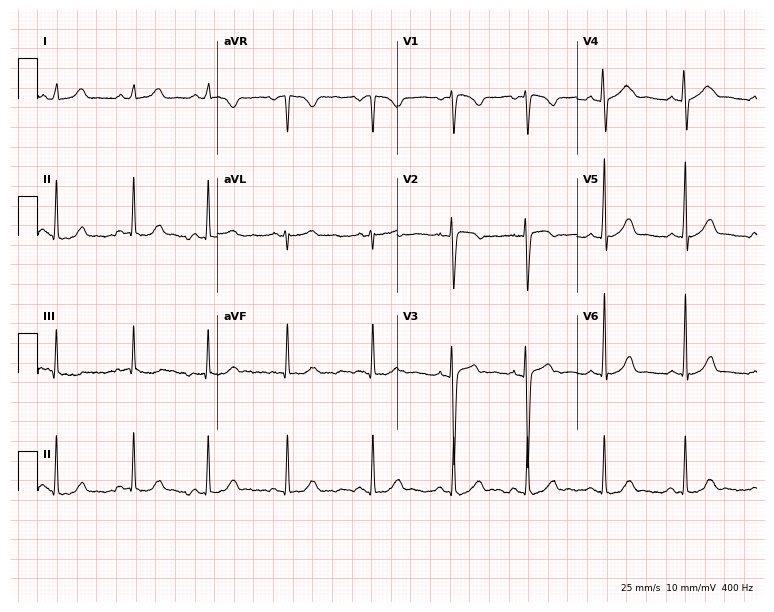
Electrocardiogram (7.3-second recording at 400 Hz), a 19-year-old female. Of the six screened findings (first-degree AV block, right bundle branch block (RBBB), left bundle branch block (LBBB), sinus bradycardia, atrial fibrillation (AF), sinus tachycardia), none is recorded. Only these six findings were labelled.